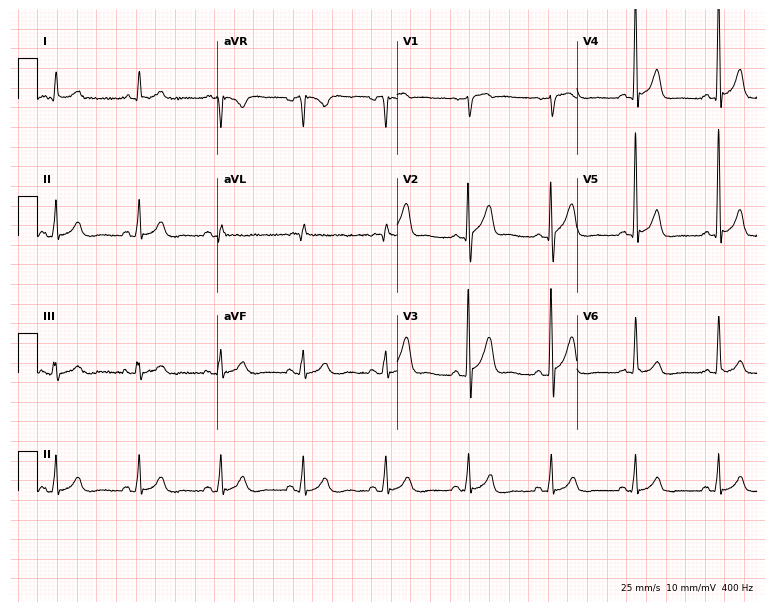
Resting 12-lead electrocardiogram (7.3-second recording at 400 Hz). Patient: a 73-year-old man. Read as a normal ECG.